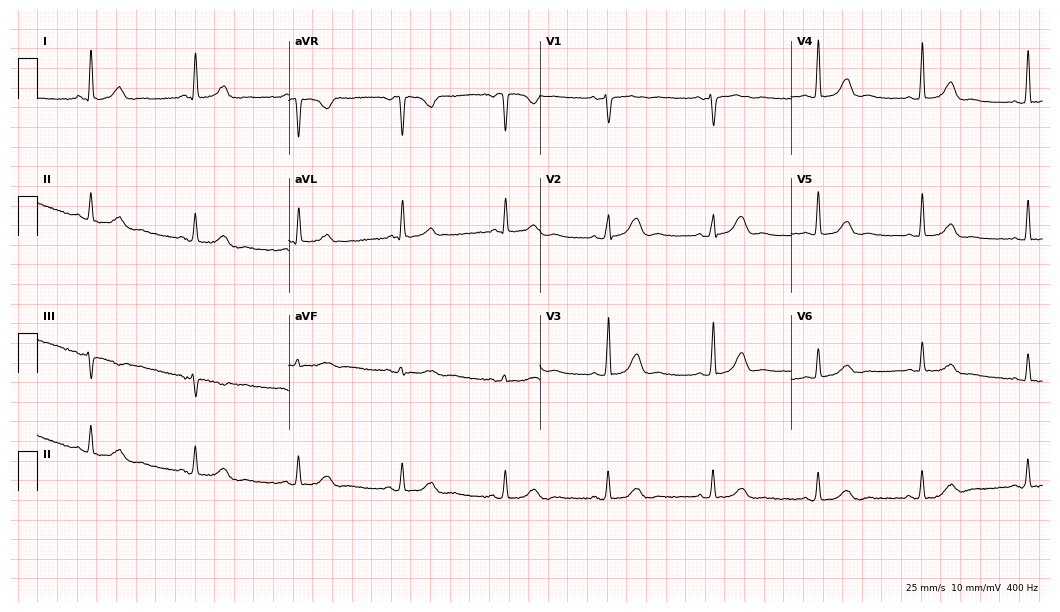
Electrocardiogram (10.2-second recording at 400 Hz), a 58-year-old female. Of the six screened findings (first-degree AV block, right bundle branch block, left bundle branch block, sinus bradycardia, atrial fibrillation, sinus tachycardia), none is recorded. Findings outside these six are not listed.